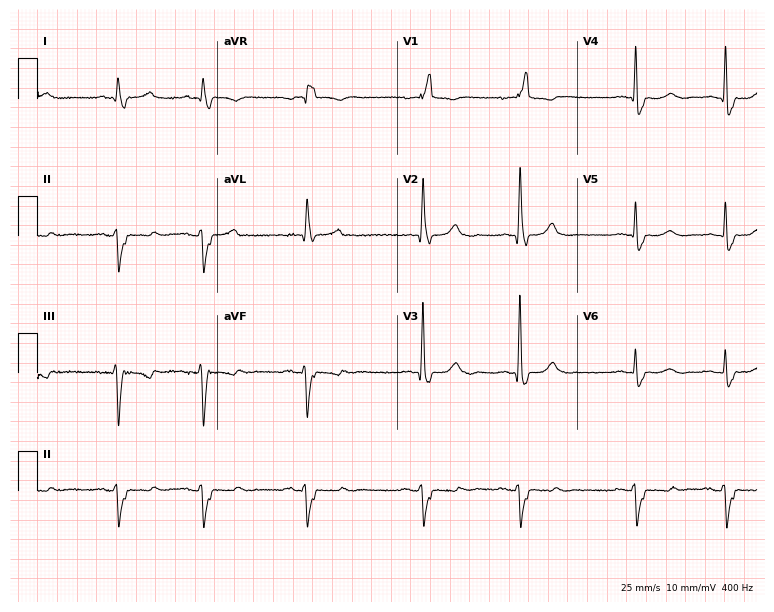
Electrocardiogram (7.3-second recording at 400 Hz), a 77-year-old female. Interpretation includes right bundle branch block.